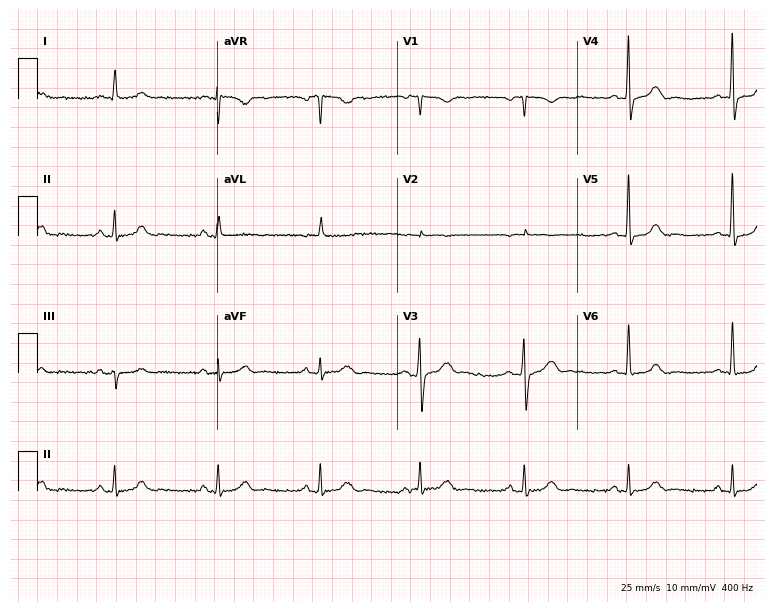
ECG — a 65-year-old man. Screened for six findings — first-degree AV block, right bundle branch block, left bundle branch block, sinus bradycardia, atrial fibrillation, sinus tachycardia — none is recorded.